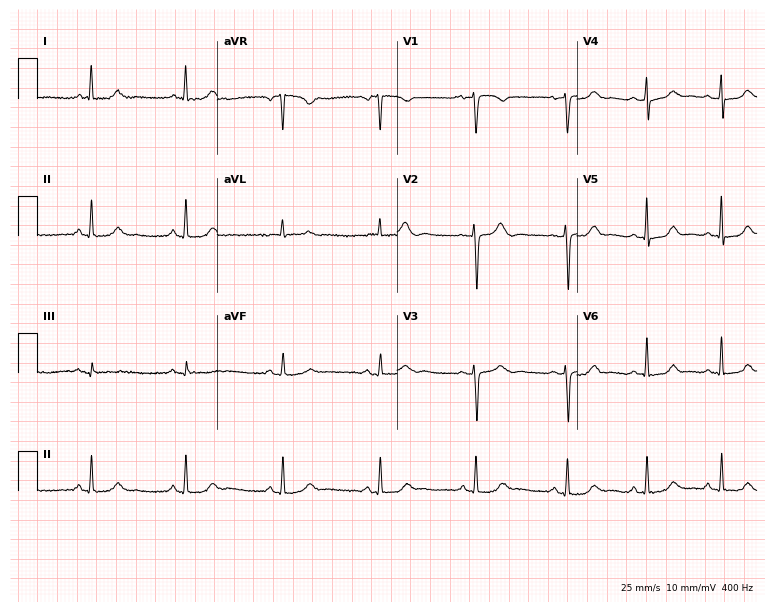
Electrocardiogram, a 34-year-old female patient. Of the six screened findings (first-degree AV block, right bundle branch block, left bundle branch block, sinus bradycardia, atrial fibrillation, sinus tachycardia), none is recorded. Findings outside these six are not listed.